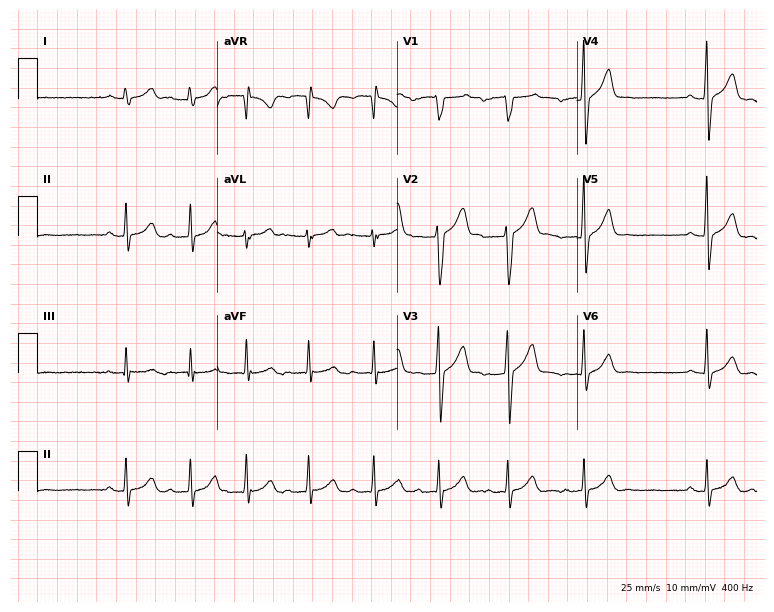
Standard 12-lead ECG recorded from a 17-year-old male. Read as a normal ECG.